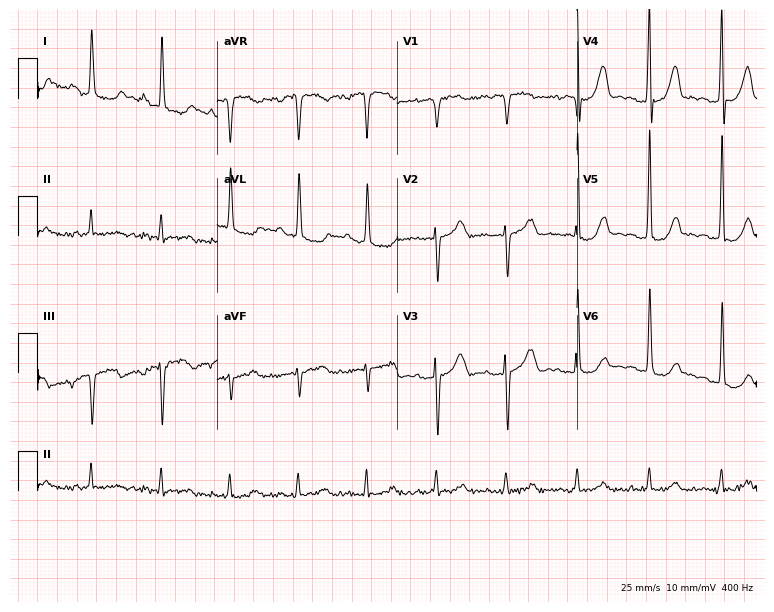
Resting 12-lead electrocardiogram (7.3-second recording at 400 Hz). Patient: a female, 81 years old. None of these six findings is recorded: first-degree AV block, right bundle branch block (RBBB), left bundle branch block (LBBB), sinus bradycardia, atrial fibrillation (AF), sinus tachycardia.